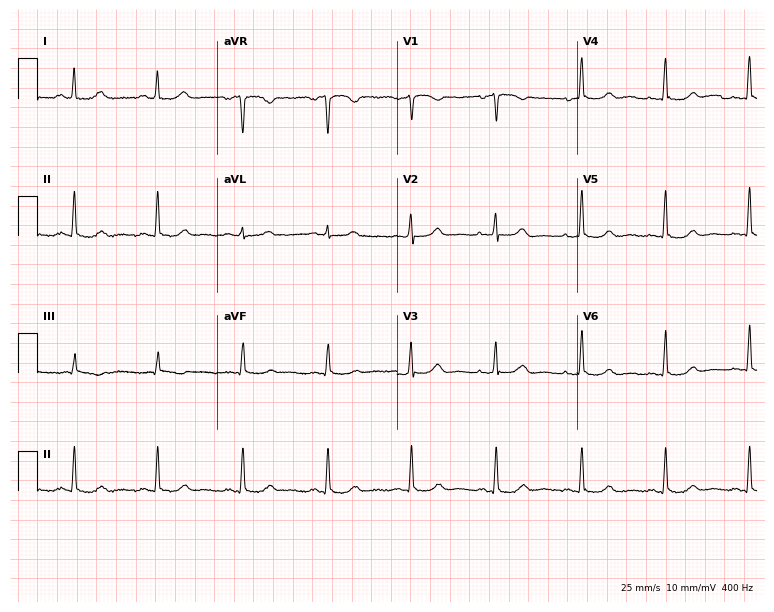
Resting 12-lead electrocardiogram. Patient: a female, 68 years old. None of these six findings is recorded: first-degree AV block, right bundle branch block, left bundle branch block, sinus bradycardia, atrial fibrillation, sinus tachycardia.